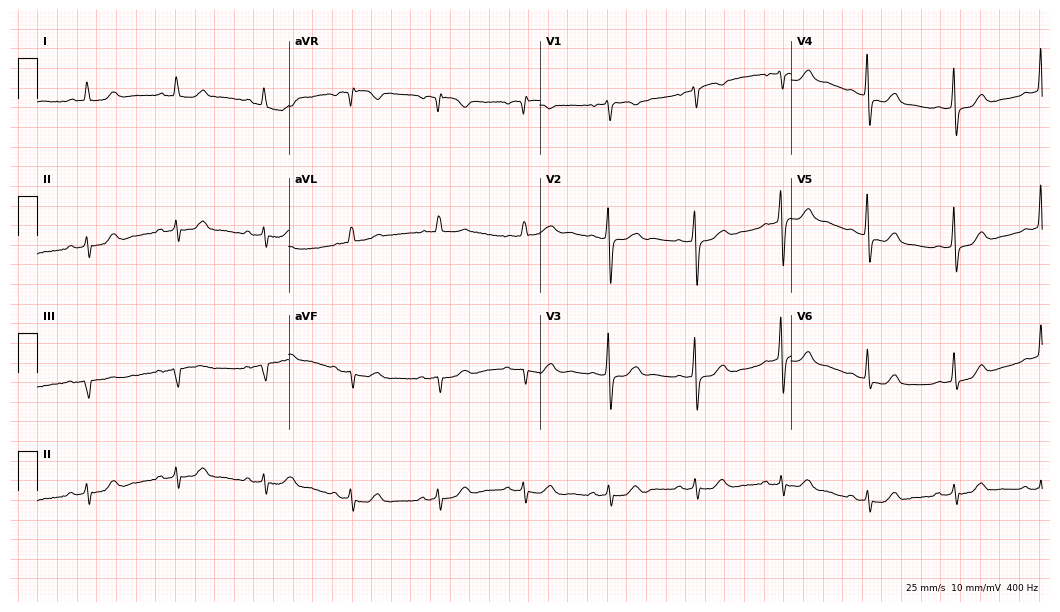
12-lead ECG from a 71-year-old female patient (10.2-second recording at 400 Hz). Recorded interpretation: within normal limits.